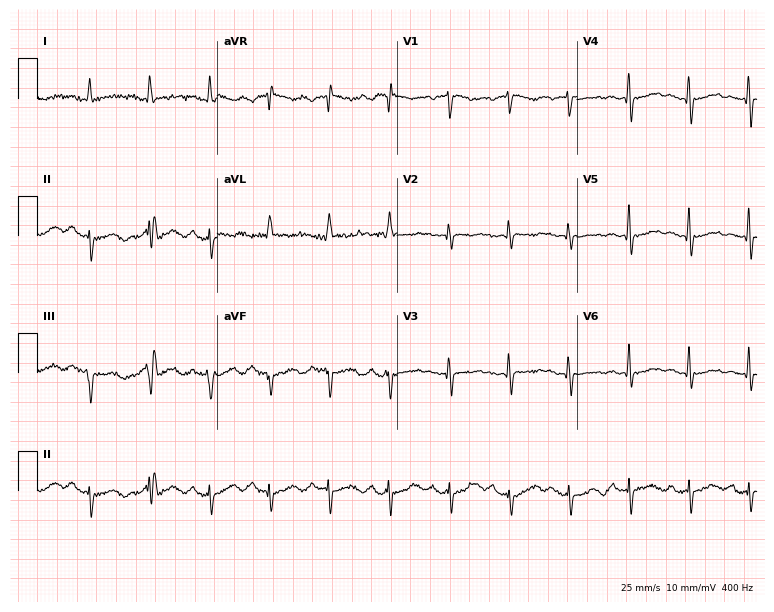
Resting 12-lead electrocardiogram. Patient: a woman, 62 years old. None of these six findings is recorded: first-degree AV block, right bundle branch block, left bundle branch block, sinus bradycardia, atrial fibrillation, sinus tachycardia. Findings outside these six are not listed.